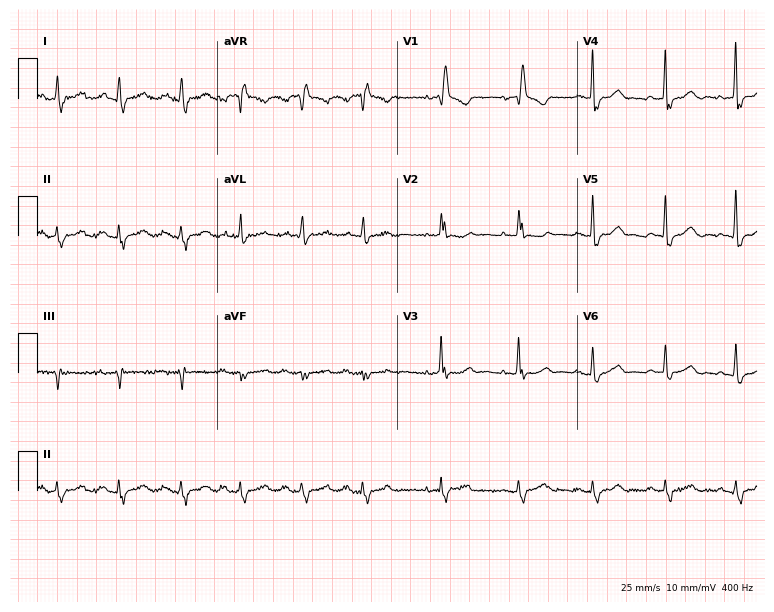
Resting 12-lead electrocardiogram (7.3-second recording at 400 Hz). Patient: a female, 80 years old. The tracing shows right bundle branch block.